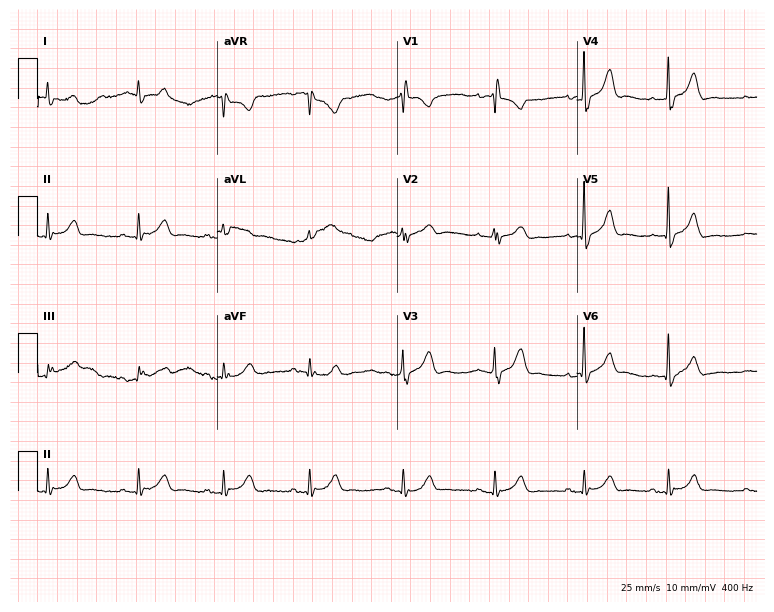
Electrocardiogram (7.3-second recording at 400 Hz), a man, 84 years old. Of the six screened findings (first-degree AV block, right bundle branch block, left bundle branch block, sinus bradycardia, atrial fibrillation, sinus tachycardia), none is recorded. Findings outside these six are not listed.